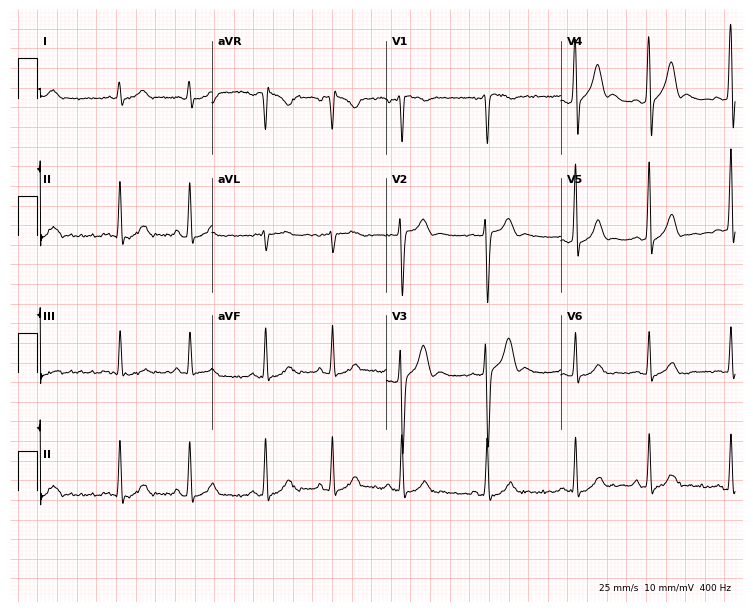
ECG (7.1-second recording at 400 Hz) — a 20-year-old man. Labelled as a normal ECG.